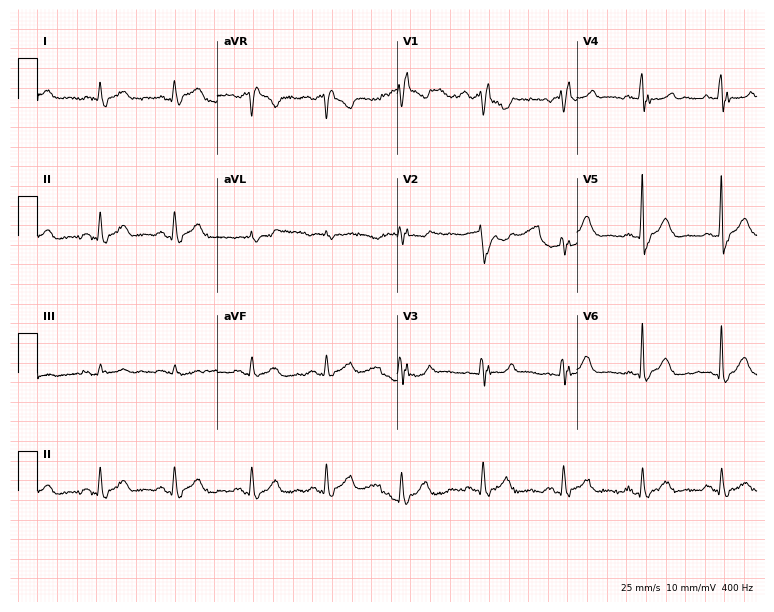
Electrocardiogram (7.3-second recording at 400 Hz), a woman, 75 years old. Interpretation includes right bundle branch block.